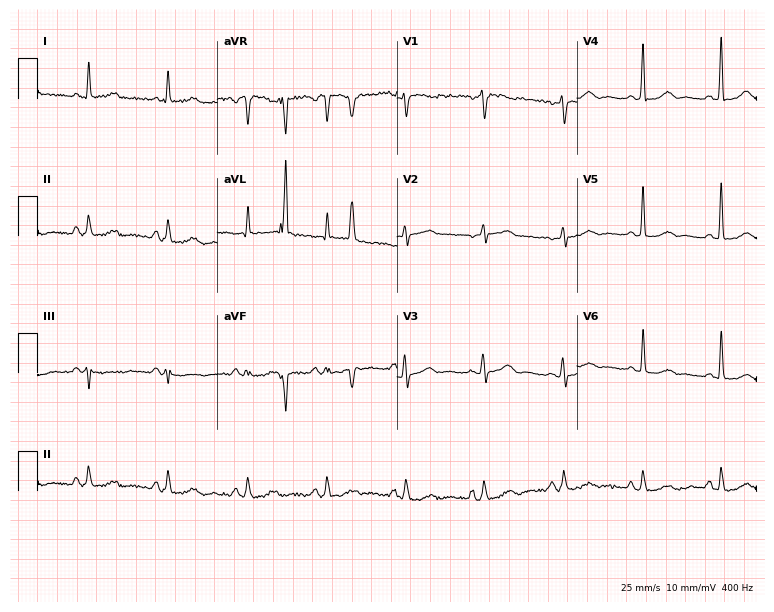
ECG (7.3-second recording at 400 Hz) — a female patient, 66 years old. Screened for six findings — first-degree AV block, right bundle branch block, left bundle branch block, sinus bradycardia, atrial fibrillation, sinus tachycardia — none is recorded.